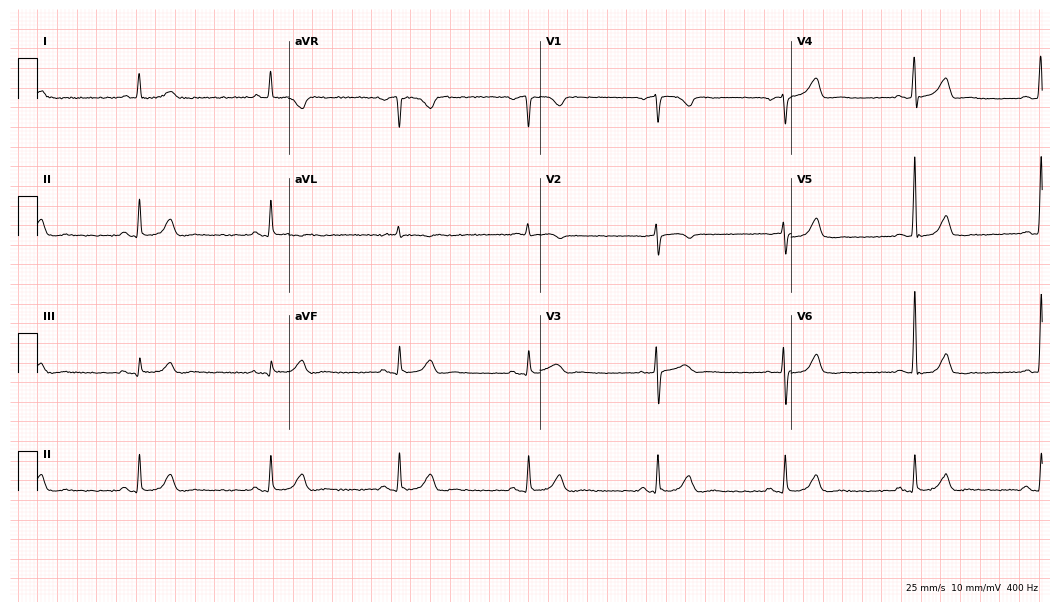
Electrocardiogram (10.2-second recording at 400 Hz), an 83-year-old male. Interpretation includes sinus bradycardia (a sinus rate of 50 beats per minute or less).